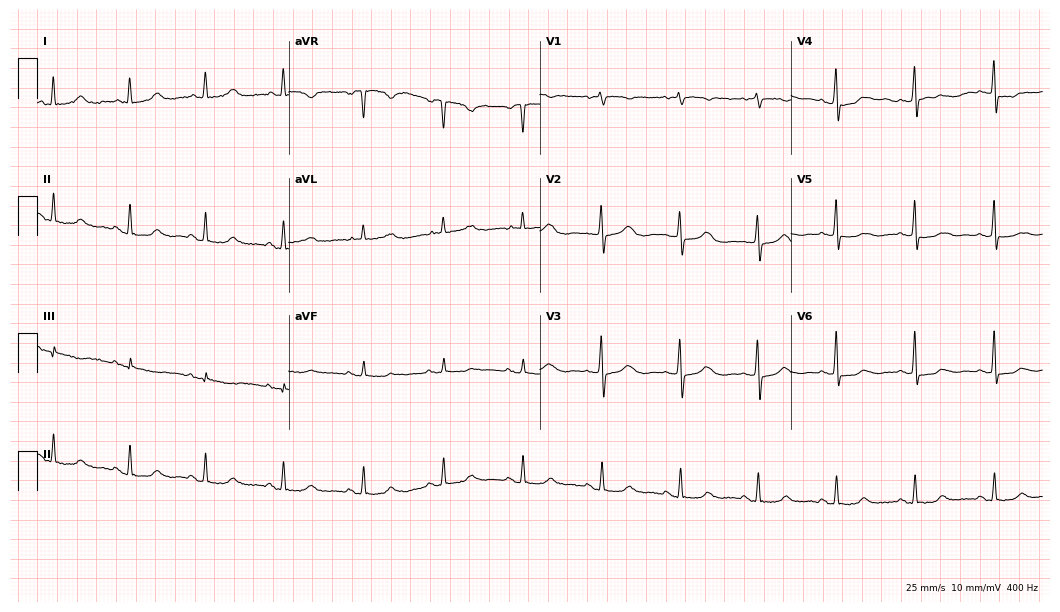
12-lead ECG from a 76-year-old female patient. Recorded interpretation: within normal limits.